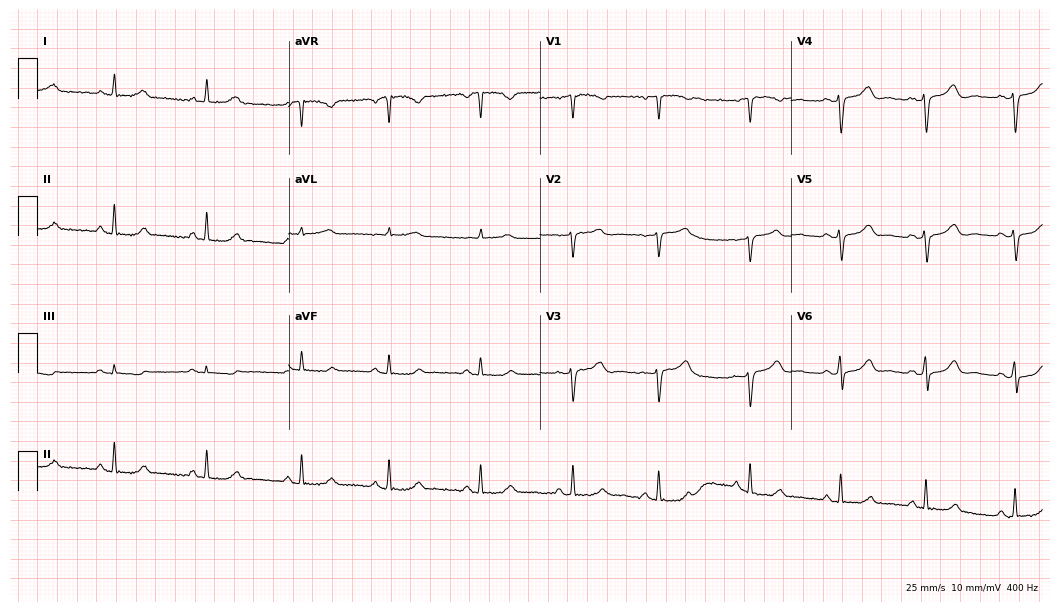
Resting 12-lead electrocardiogram (10.2-second recording at 400 Hz). Patient: a female, 42 years old. None of these six findings is recorded: first-degree AV block, right bundle branch block, left bundle branch block, sinus bradycardia, atrial fibrillation, sinus tachycardia. Only these six findings were labelled.